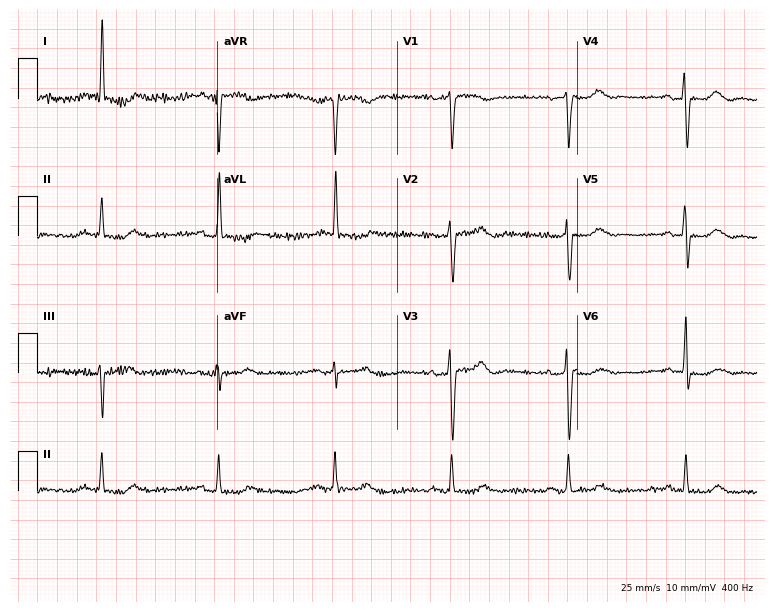
ECG (7.3-second recording at 400 Hz) — a female patient, 83 years old. Screened for six findings — first-degree AV block, right bundle branch block (RBBB), left bundle branch block (LBBB), sinus bradycardia, atrial fibrillation (AF), sinus tachycardia — none is recorded.